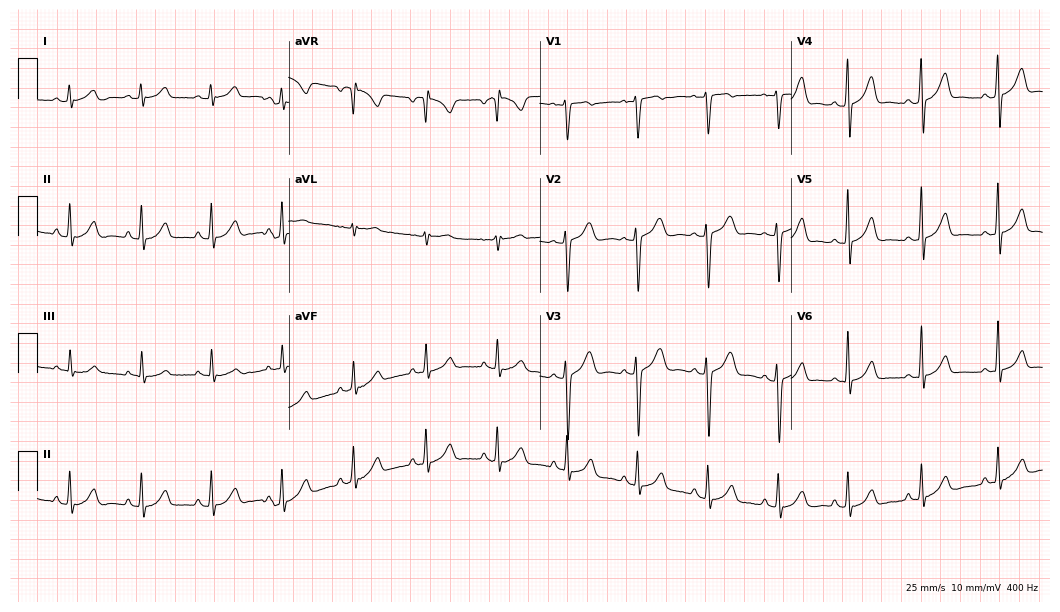
12-lead ECG (10.2-second recording at 400 Hz) from a female patient, 23 years old. Labelled as a normal ECG.